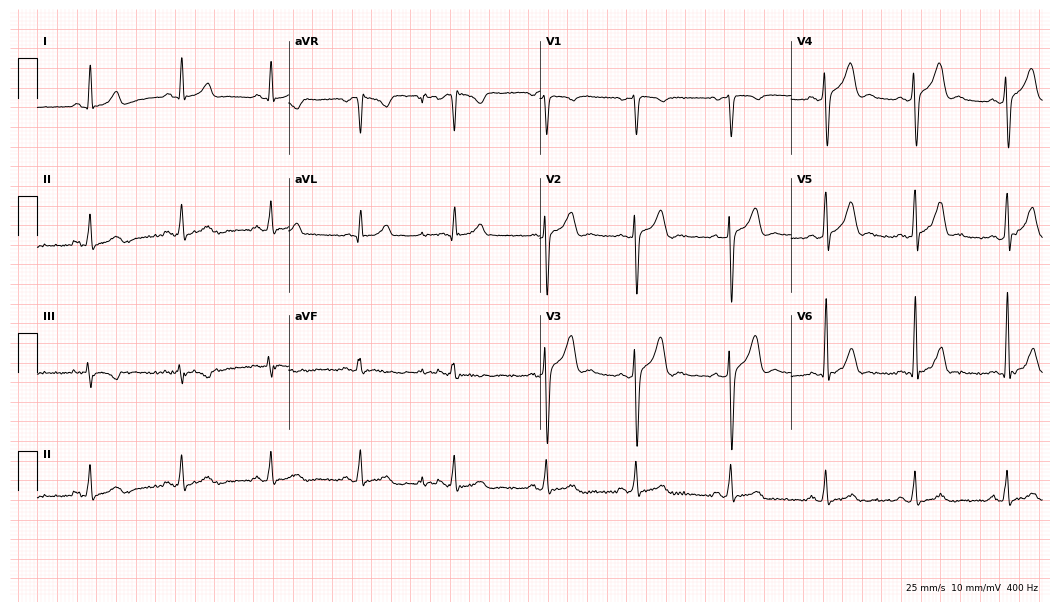
Electrocardiogram, a man, 26 years old. Of the six screened findings (first-degree AV block, right bundle branch block, left bundle branch block, sinus bradycardia, atrial fibrillation, sinus tachycardia), none is recorded. Only these six findings were labelled.